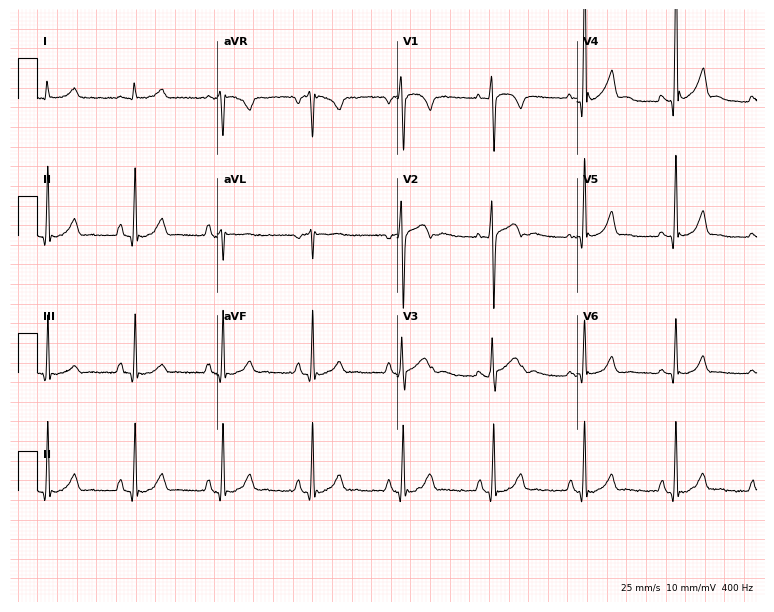
12-lead ECG from a 19-year-old man. Labelled as a normal ECG.